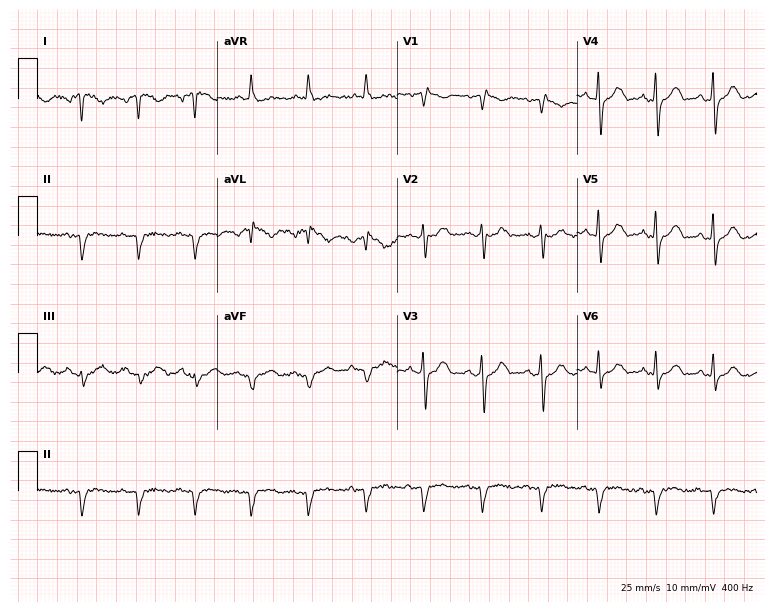
ECG (7.3-second recording at 400 Hz) — a man, 63 years old. Screened for six findings — first-degree AV block, right bundle branch block, left bundle branch block, sinus bradycardia, atrial fibrillation, sinus tachycardia — none is recorded.